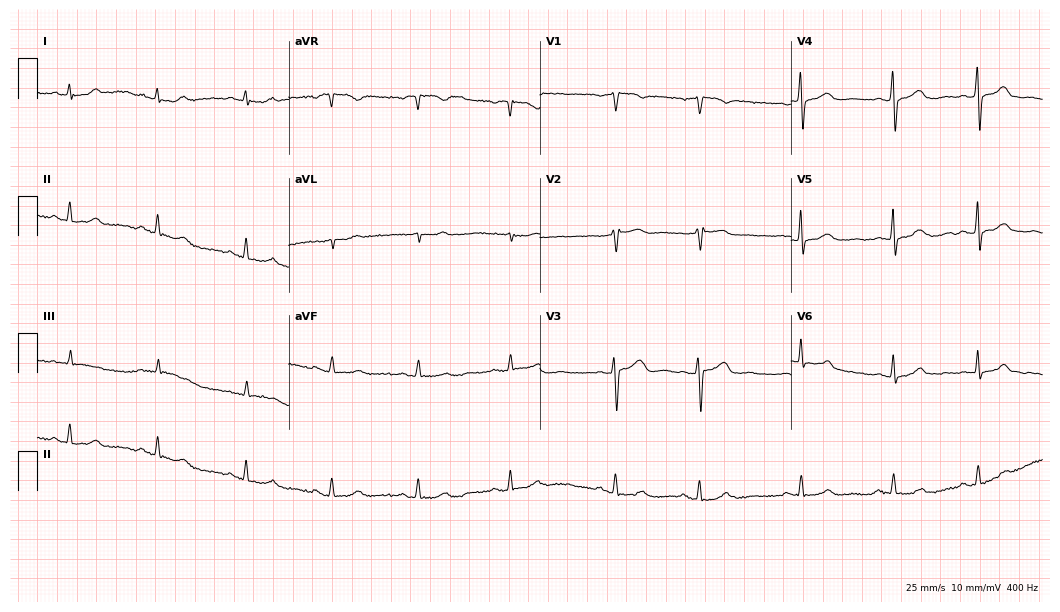
Resting 12-lead electrocardiogram (10.2-second recording at 400 Hz). Patient: a female, 53 years old. Read as a normal ECG.